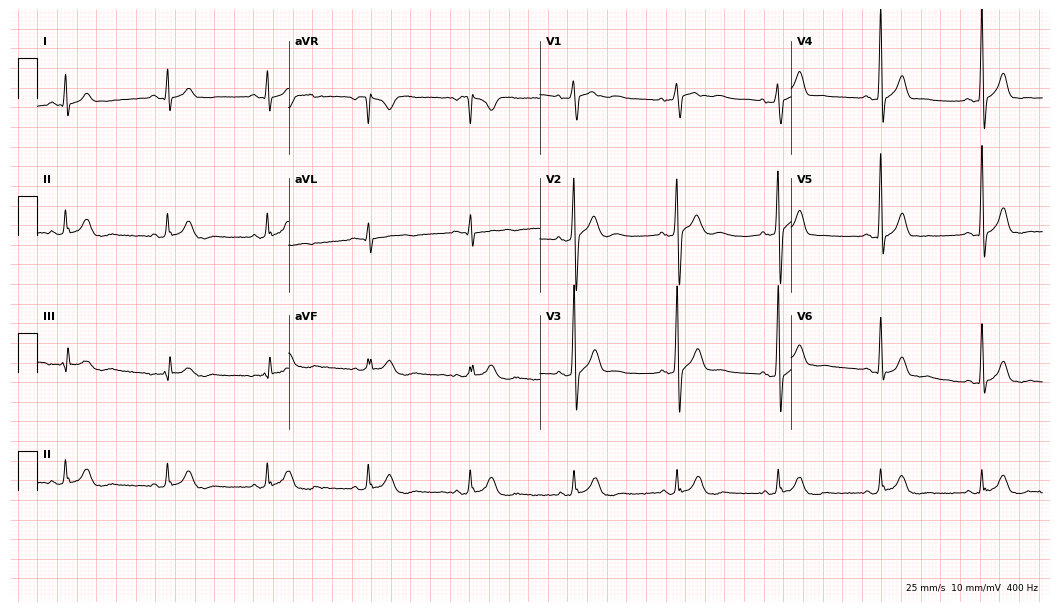
Resting 12-lead electrocardiogram (10.2-second recording at 400 Hz). Patient: a man, 29 years old. Read as a normal ECG.